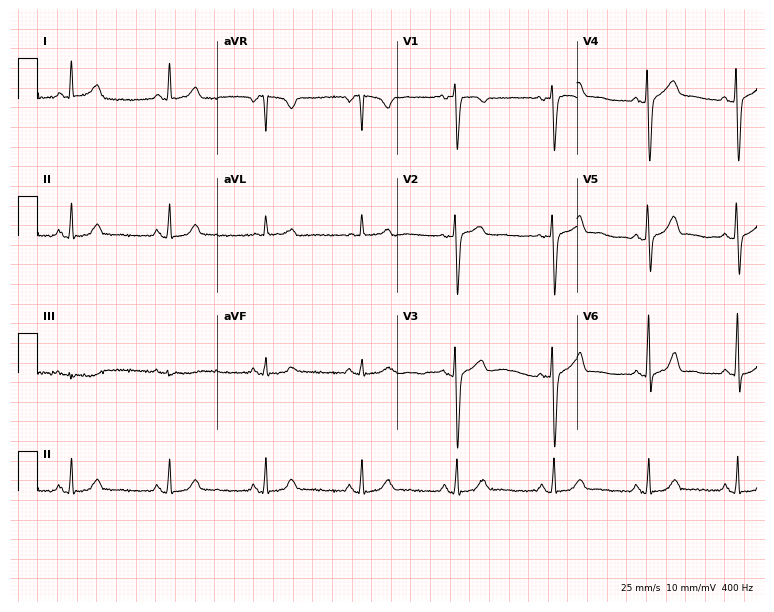
Electrocardiogram, a 45-year-old female patient. Overall reading on record: normal ECG.